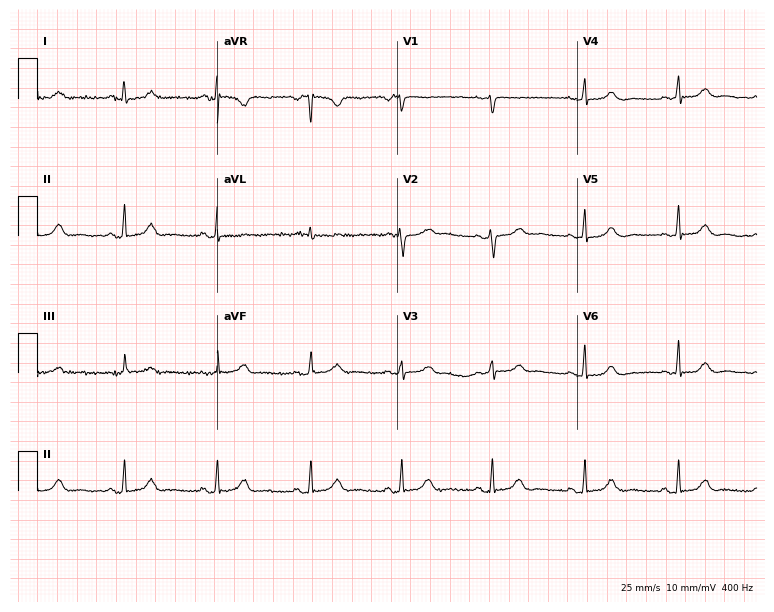
12-lead ECG (7.3-second recording at 400 Hz) from a female, 35 years old. Labelled as a normal ECG.